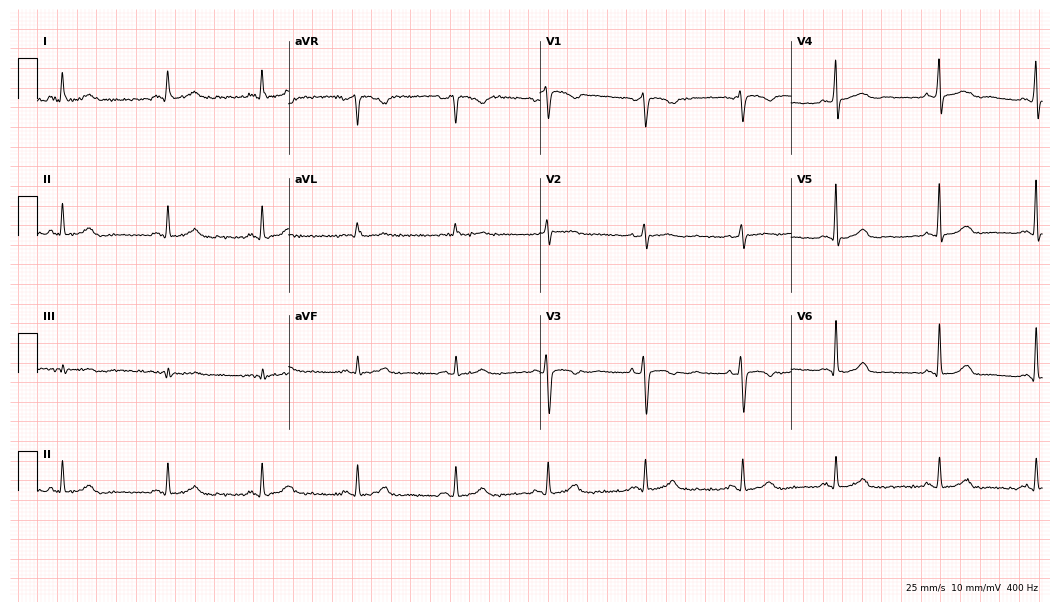
12-lead ECG from a 41-year-old female patient. Screened for six findings — first-degree AV block, right bundle branch block, left bundle branch block, sinus bradycardia, atrial fibrillation, sinus tachycardia — none is recorded.